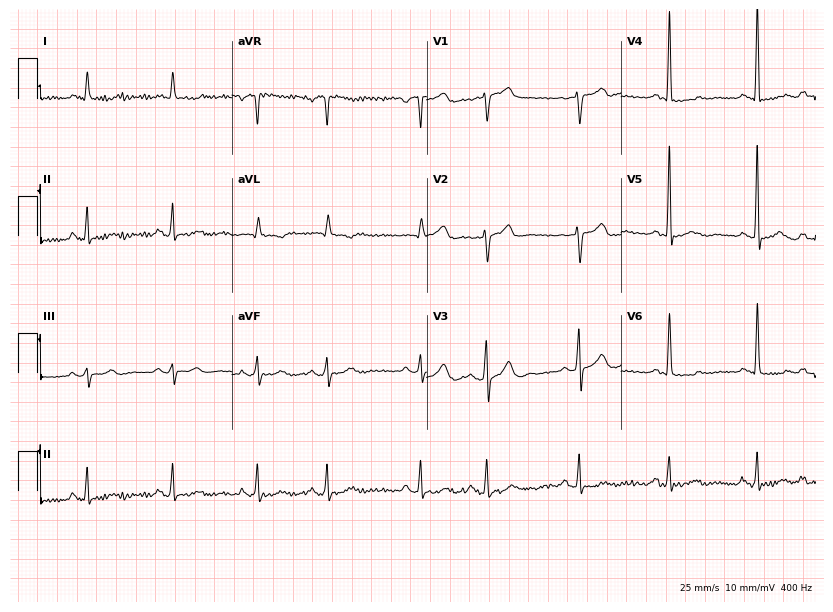
Electrocardiogram (7.9-second recording at 400 Hz), a 63-year-old male patient. Of the six screened findings (first-degree AV block, right bundle branch block (RBBB), left bundle branch block (LBBB), sinus bradycardia, atrial fibrillation (AF), sinus tachycardia), none is recorded. Only these six findings were labelled.